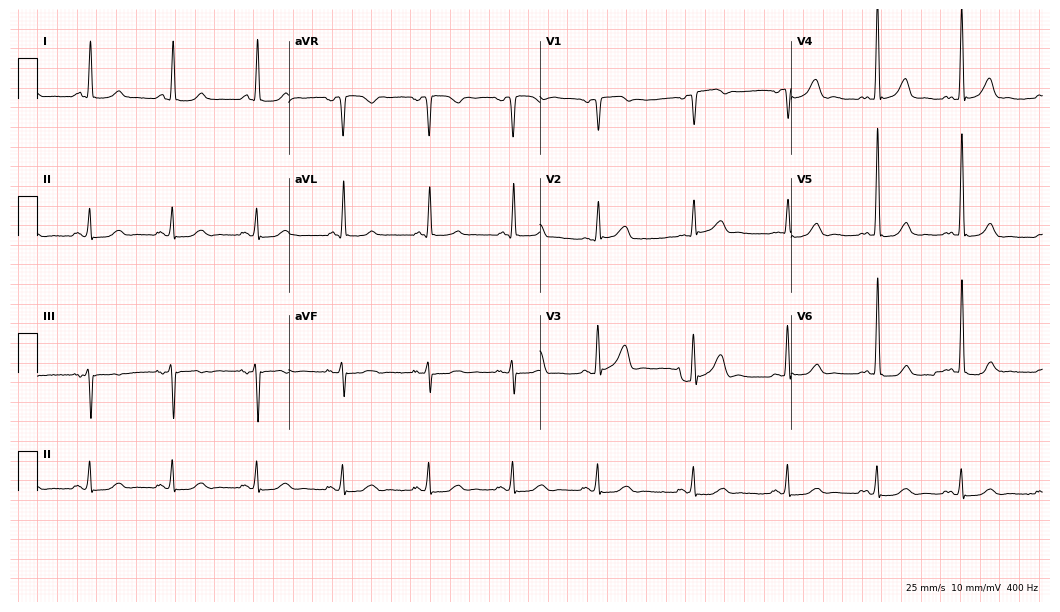
Standard 12-lead ECG recorded from a man, 76 years old. Read as a normal ECG.